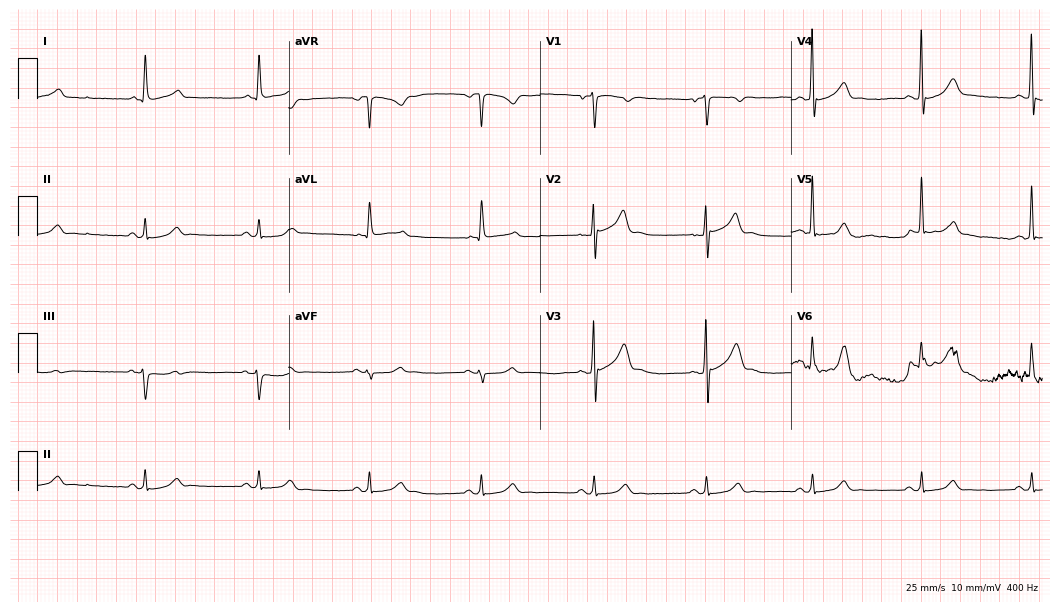
ECG — a 64-year-old man. Labelled as a normal ECG.